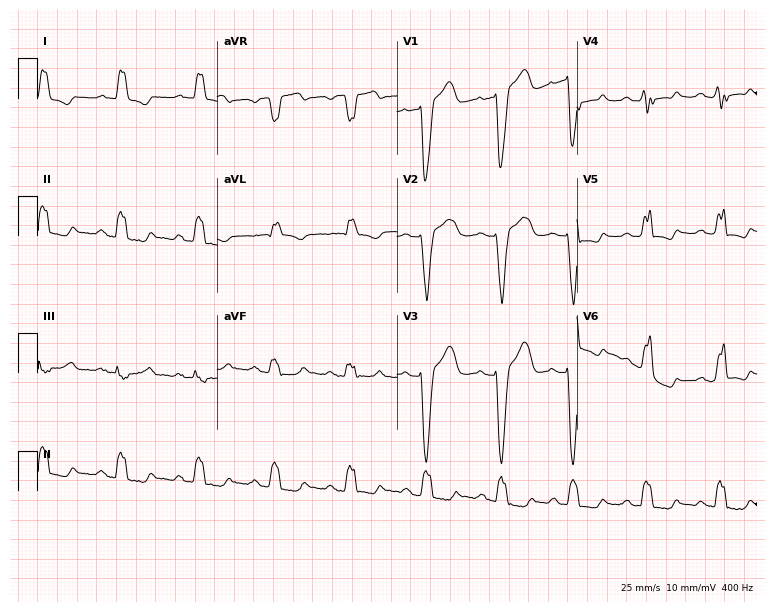
12-lead ECG from a female, 55 years old. Shows left bundle branch block.